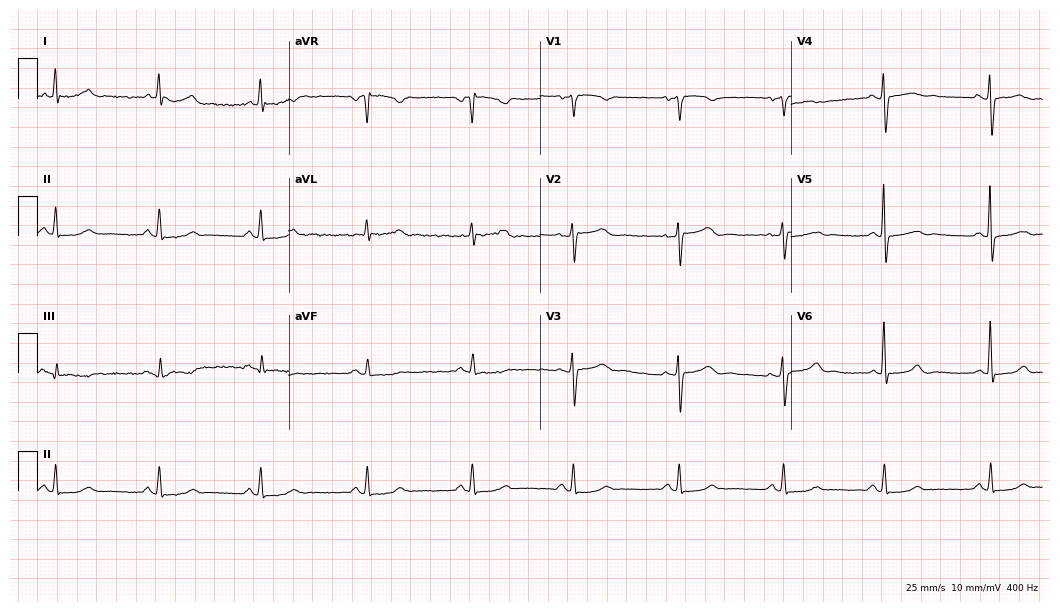
12-lead ECG from a female patient, 60 years old. Labelled as a normal ECG.